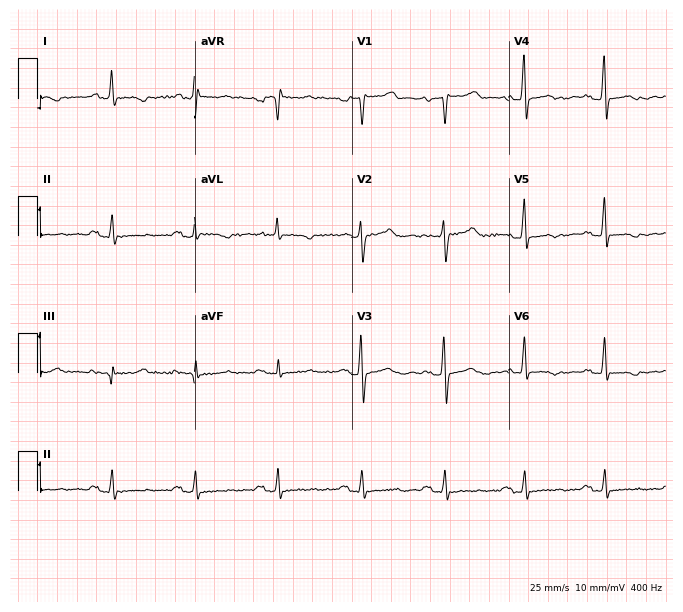
Electrocardiogram (6.4-second recording at 400 Hz), a 64-year-old female patient. Of the six screened findings (first-degree AV block, right bundle branch block (RBBB), left bundle branch block (LBBB), sinus bradycardia, atrial fibrillation (AF), sinus tachycardia), none is recorded. Findings outside these six are not listed.